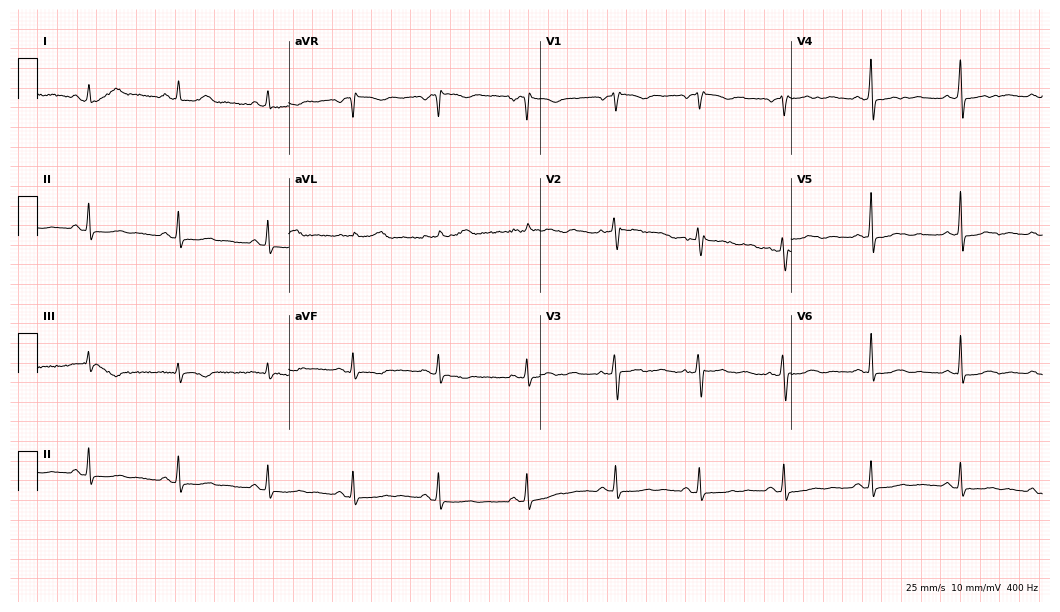
ECG — a female patient, 39 years old. Screened for six findings — first-degree AV block, right bundle branch block, left bundle branch block, sinus bradycardia, atrial fibrillation, sinus tachycardia — none is recorded.